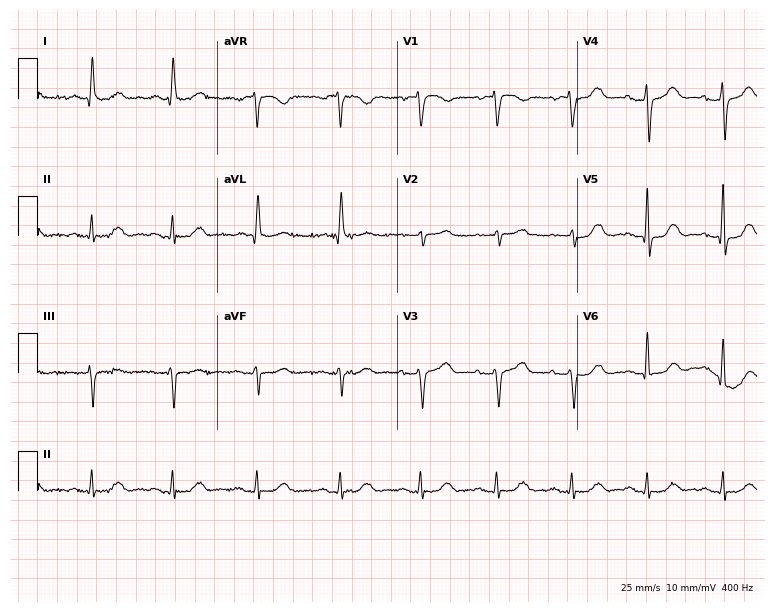
ECG (7.3-second recording at 400 Hz) — a 71-year-old woman. Screened for six findings — first-degree AV block, right bundle branch block, left bundle branch block, sinus bradycardia, atrial fibrillation, sinus tachycardia — none is recorded.